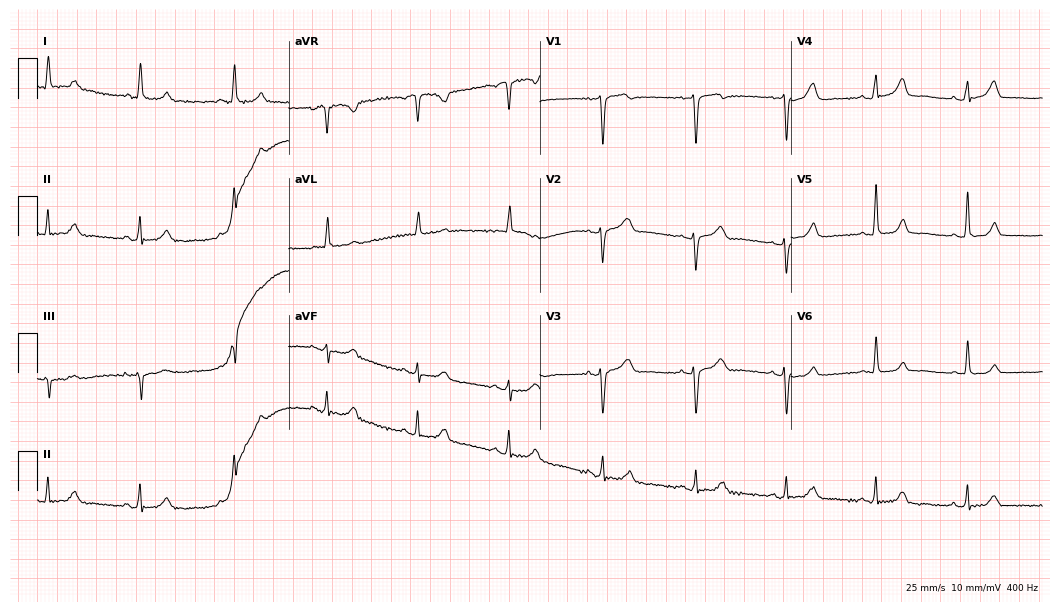
Electrocardiogram (10.2-second recording at 400 Hz), a woman, 81 years old. Overall reading on record: normal ECG.